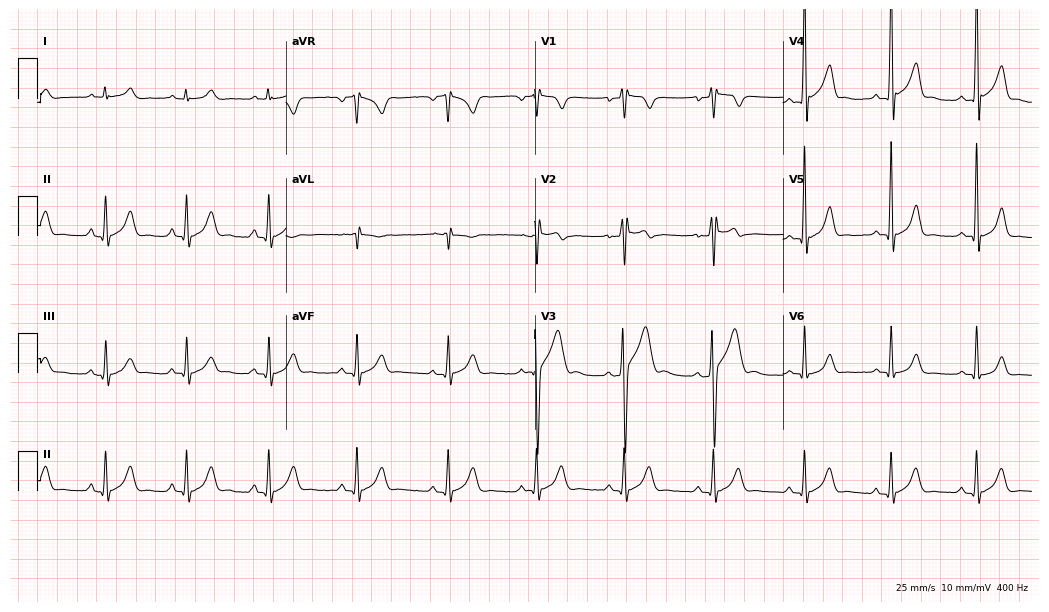
ECG — a 19-year-old man. Labelled as a normal ECG.